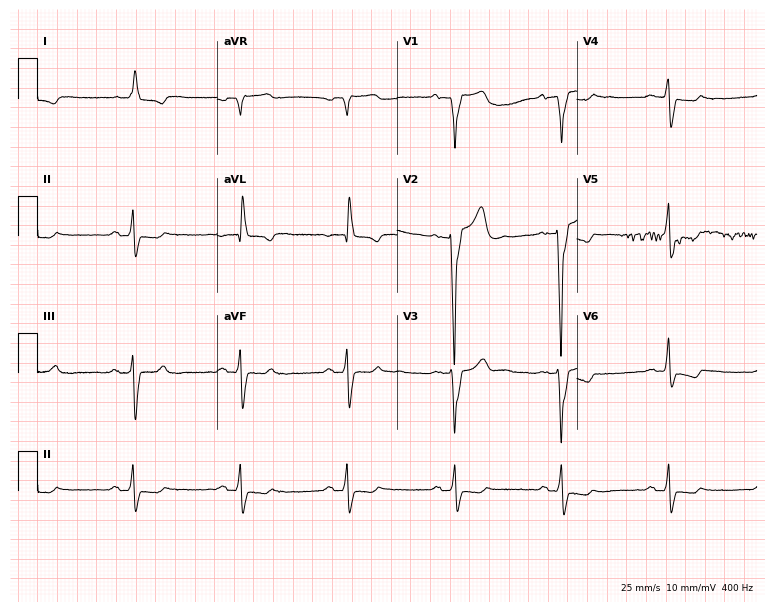
12-lead ECG from a male, 64 years old (7.3-second recording at 400 Hz). Shows left bundle branch block, sinus bradycardia (a sinus rate of 50 beats per minute or less).